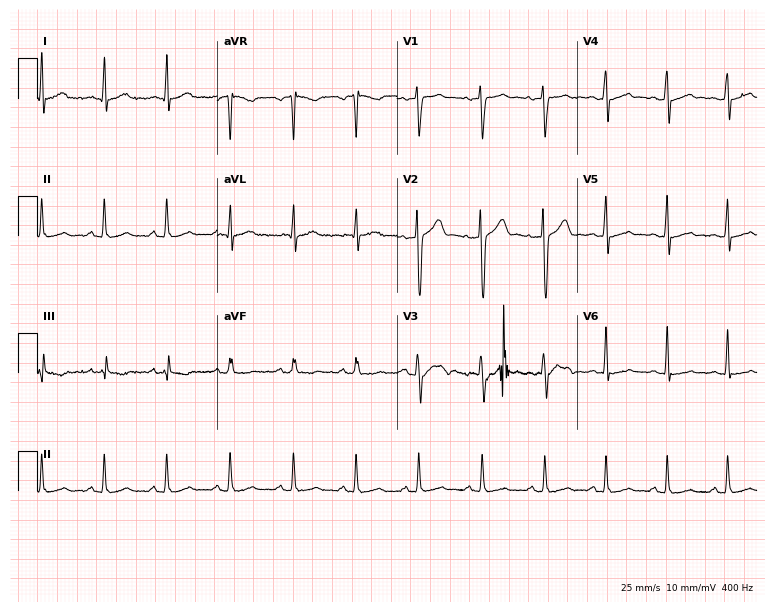
12-lead ECG from a male, 31 years old (7.3-second recording at 400 Hz). No first-degree AV block, right bundle branch block, left bundle branch block, sinus bradycardia, atrial fibrillation or sinus tachycardia recorded for this tracing. Only these six findings were labelled.